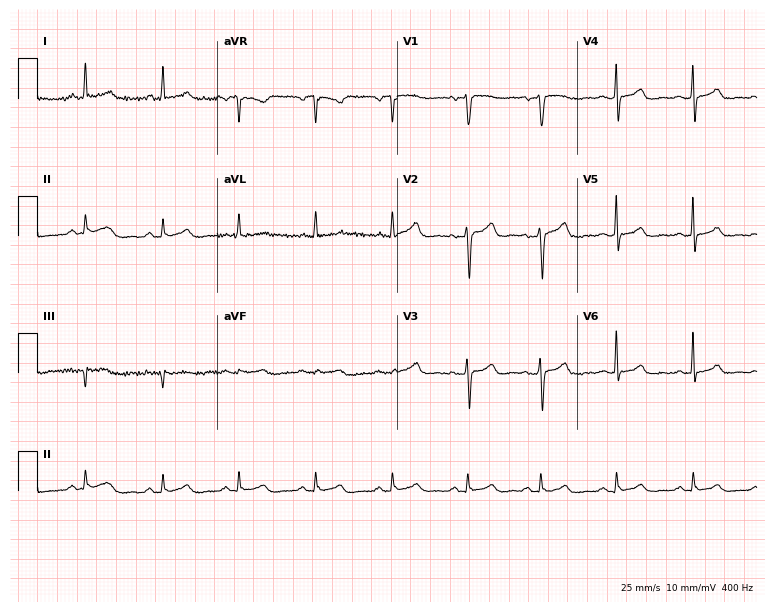
12-lead ECG from a woman, 42 years old (7.3-second recording at 400 Hz). Recorded interpretation: within normal limits.